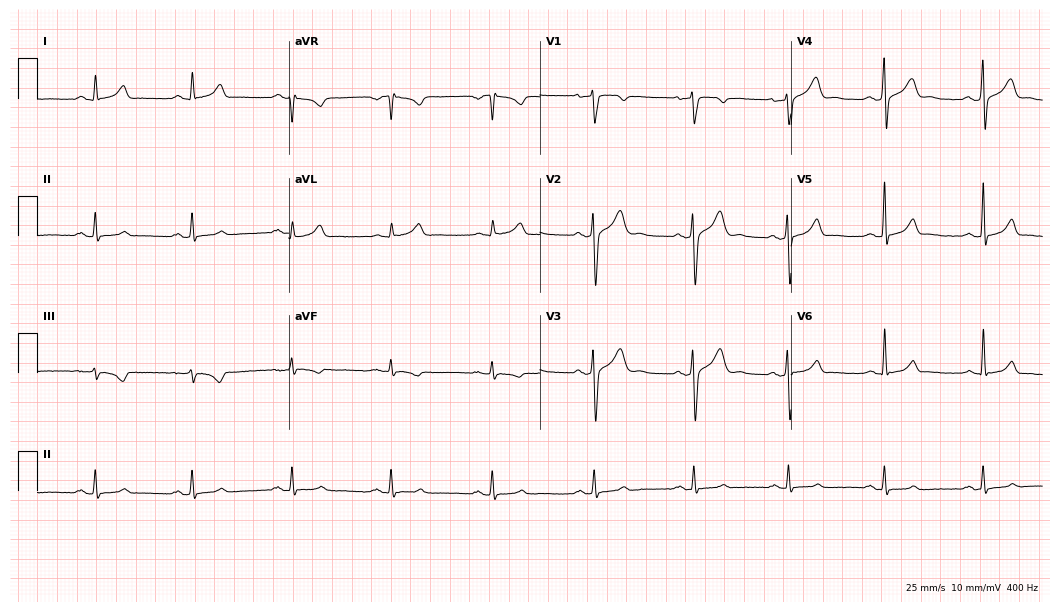
Standard 12-lead ECG recorded from a 37-year-old male patient (10.2-second recording at 400 Hz). None of these six findings is recorded: first-degree AV block, right bundle branch block, left bundle branch block, sinus bradycardia, atrial fibrillation, sinus tachycardia. Other findings, if any, are not listed.